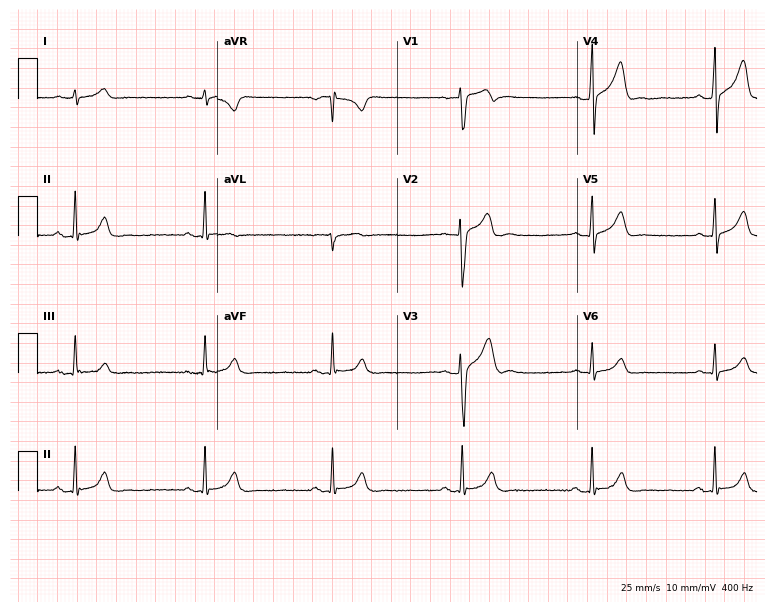
Electrocardiogram, a 31-year-old male patient. Interpretation includes sinus bradycardia (a sinus rate of 50 beats per minute or less).